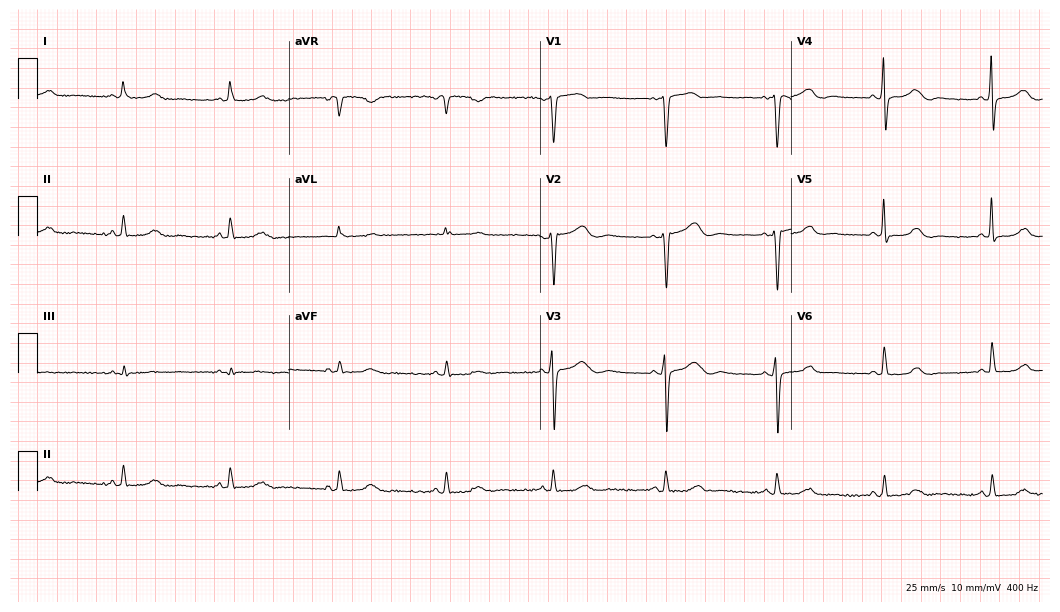
12-lead ECG (10.2-second recording at 400 Hz) from a 56-year-old female. Labelled as a normal ECG.